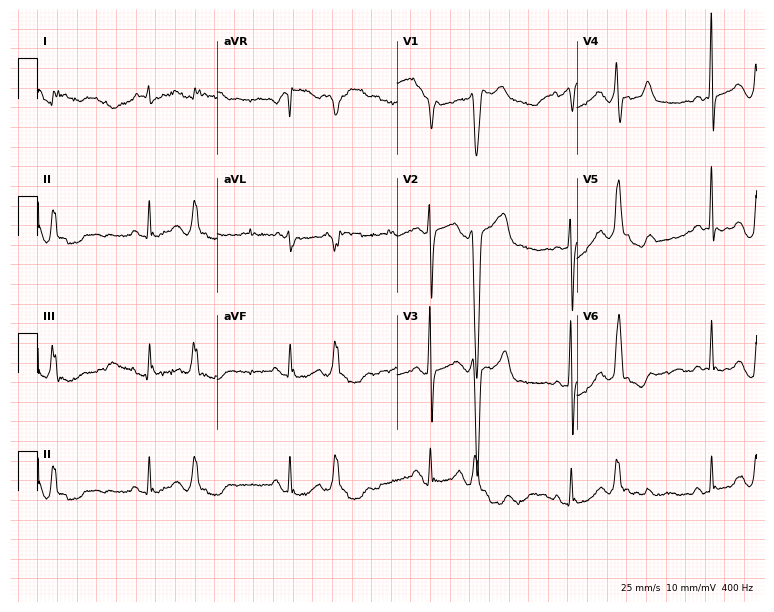
12-lead ECG from a 69-year-old female. Screened for six findings — first-degree AV block, right bundle branch block, left bundle branch block, sinus bradycardia, atrial fibrillation, sinus tachycardia — none is recorded. Findings outside these six are not listed.